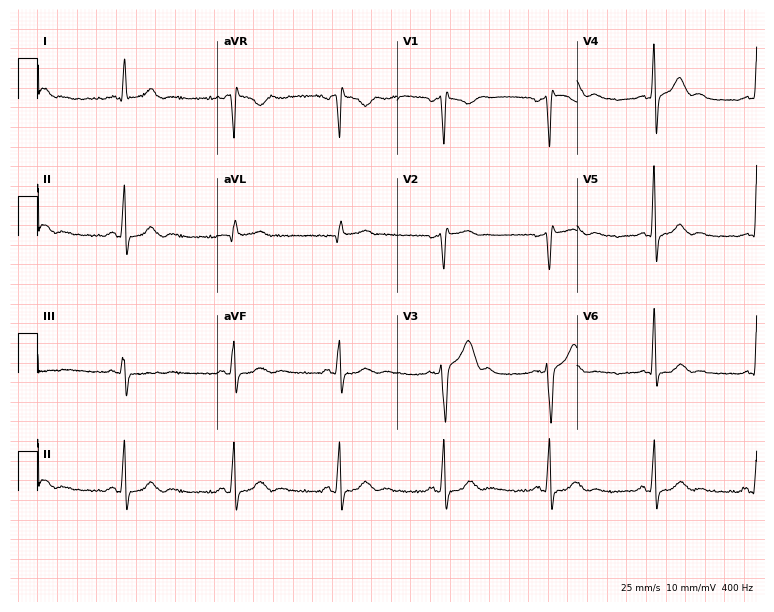
ECG (7.3-second recording at 400 Hz) — a male patient, 50 years old. Screened for six findings — first-degree AV block, right bundle branch block (RBBB), left bundle branch block (LBBB), sinus bradycardia, atrial fibrillation (AF), sinus tachycardia — none is recorded. Findings outside these six are not listed.